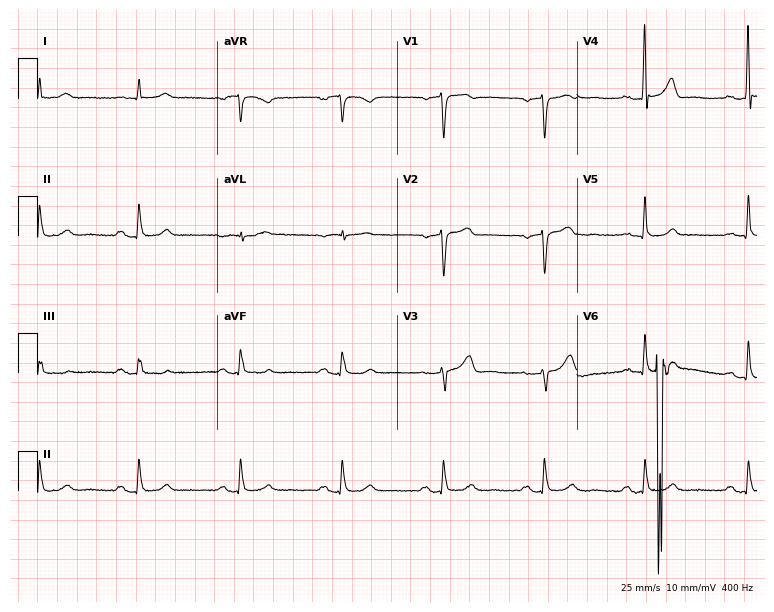
ECG (7.3-second recording at 400 Hz) — a 62-year-old man. Screened for six findings — first-degree AV block, right bundle branch block, left bundle branch block, sinus bradycardia, atrial fibrillation, sinus tachycardia — none is recorded. Other findings, if any, are not listed.